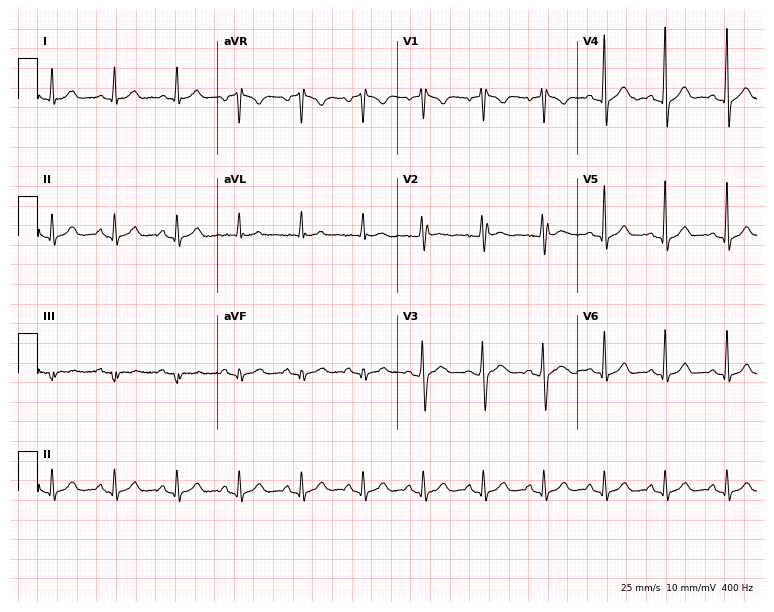
Electrocardiogram (7.3-second recording at 400 Hz), a 37-year-old male. Of the six screened findings (first-degree AV block, right bundle branch block (RBBB), left bundle branch block (LBBB), sinus bradycardia, atrial fibrillation (AF), sinus tachycardia), none is recorded. Only these six findings were labelled.